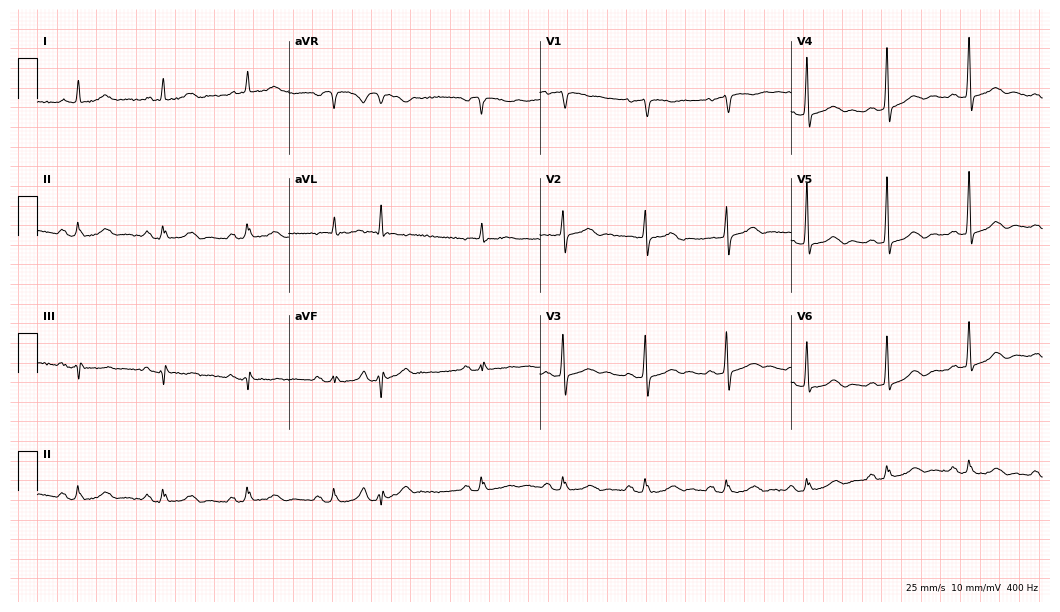
Standard 12-lead ECG recorded from a male patient, 80 years old (10.2-second recording at 400 Hz). Read as a normal ECG.